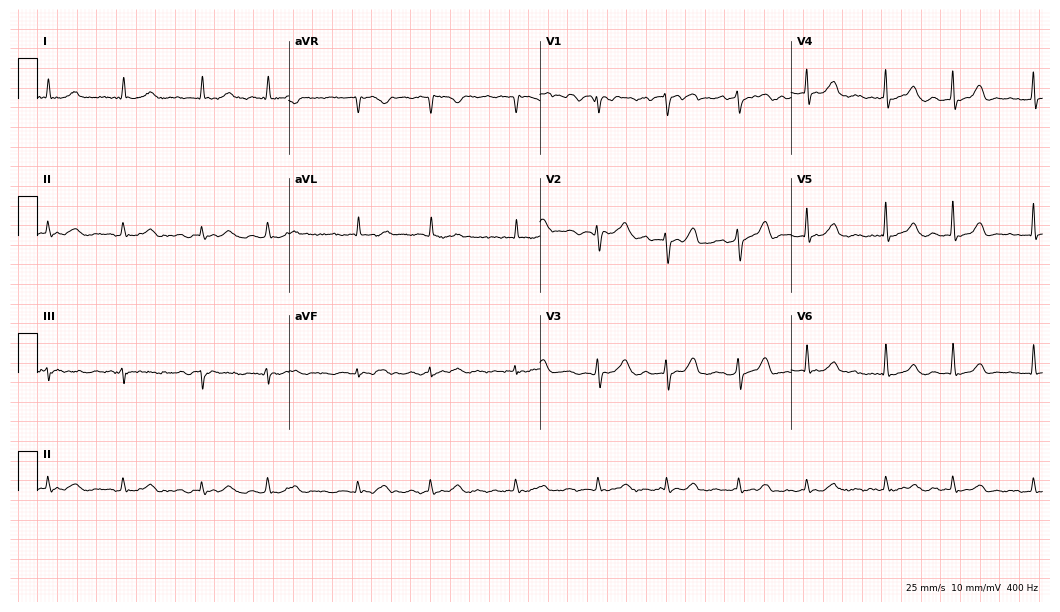
12-lead ECG from a female, 72 years old (10.2-second recording at 400 Hz). Shows atrial fibrillation.